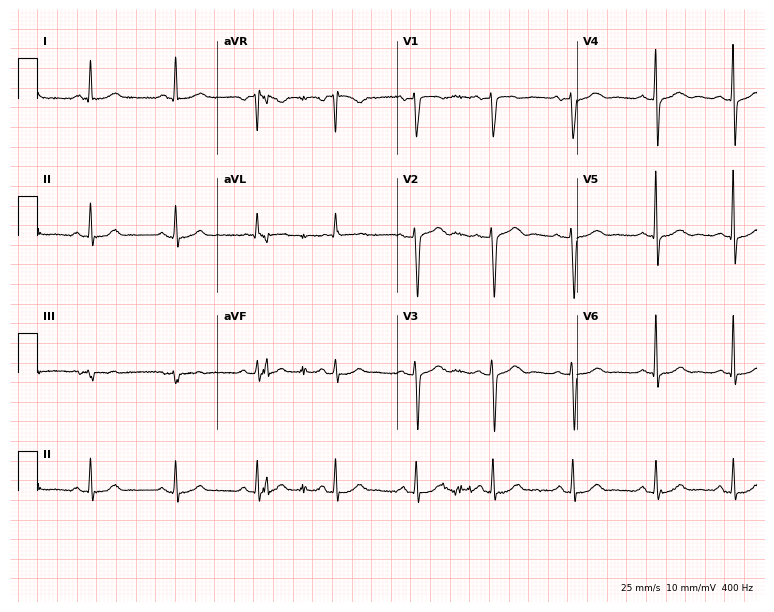
ECG (7.3-second recording at 400 Hz) — a 40-year-old woman. Labelled as a normal ECG.